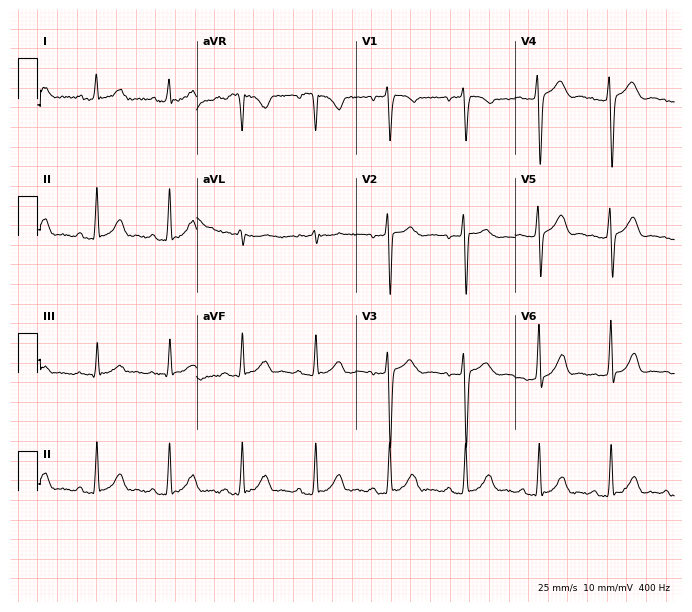
Standard 12-lead ECG recorded from a 26-year-old female (6.5-second recording at 400 Hz). Read as a normal ECG.